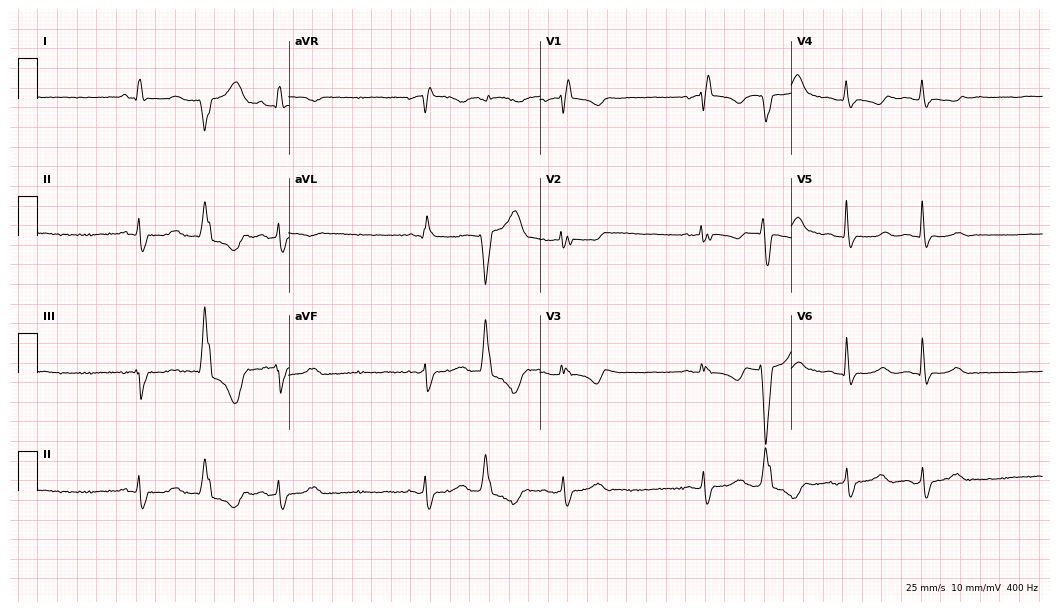
Standard 12-lead ECG recorded from a 67-year-old female patient. None of these six findings is recorded: first-degree AV block, right bundle branch block, left bundle branch block, sinus bradycardia, atrial fibrillation, sinus tachycardia. Other findings, if any, are not listed.